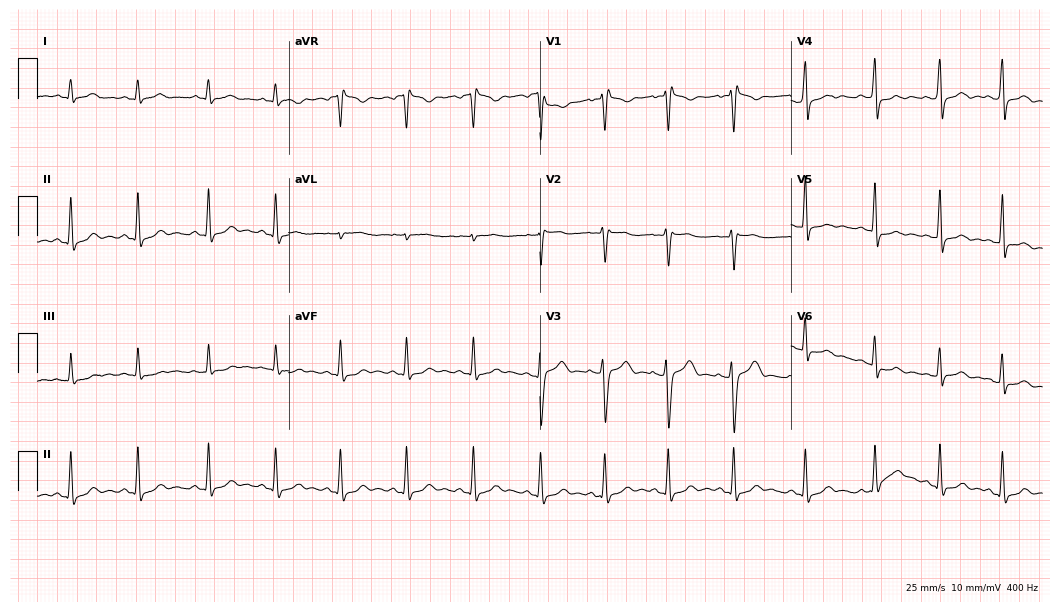
Electrocardiogram, a female patient, 24 years old. Of the six screened findings (first-degree AV block, right bundle branch block (RBBB), left bundle branch block (LBBB), sinus bradycardia, atrial fibrillation (AF), sinus tachycardia), none is recorded. Findings outside these six are not listed.